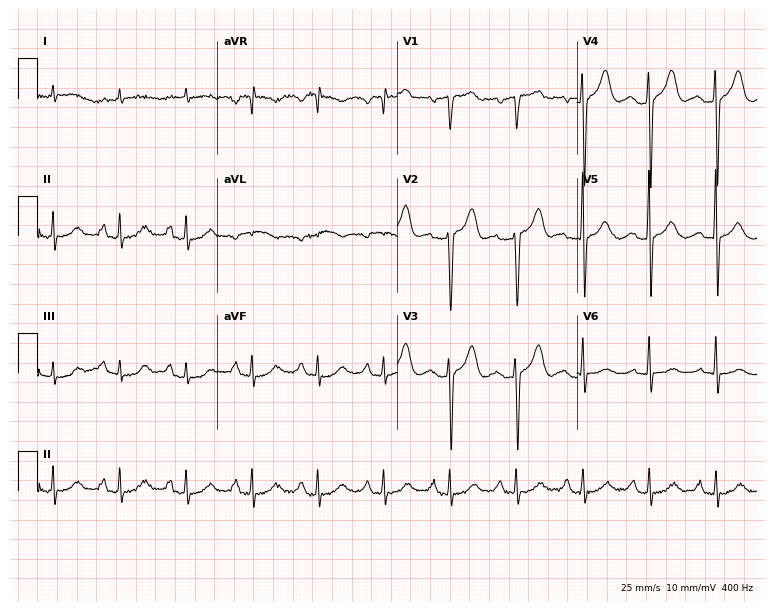
Standard 12-lead ECG recorded from a male, 68 years old. None of these six findings is recorded: first-degree AV block, right bundle branch block (RBBB), left bundle branch block (LBBB), sinus bradycardia, atrial fibrillation (AF), sinus tachycardia. Other findings, if any, are not listed.